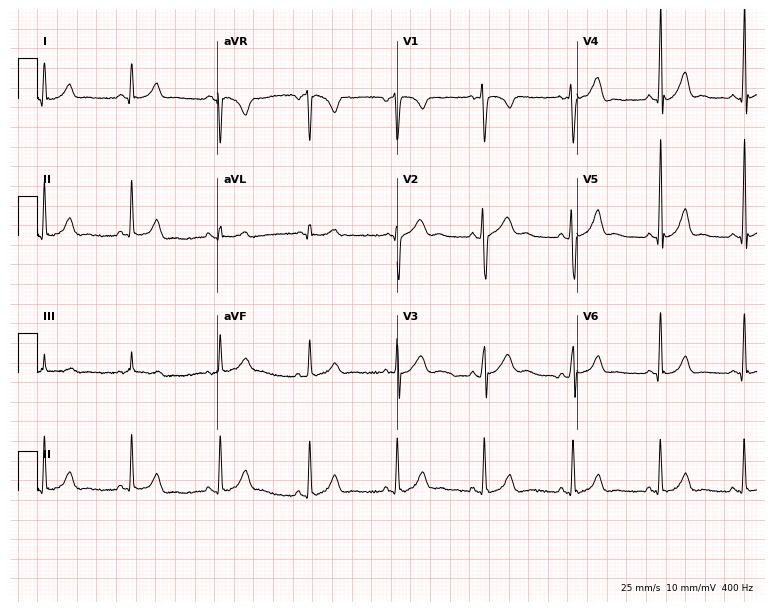
Resting 12-lead electrocardiogram. Patient: a woman, 29 years old. Read as a normal ECG.